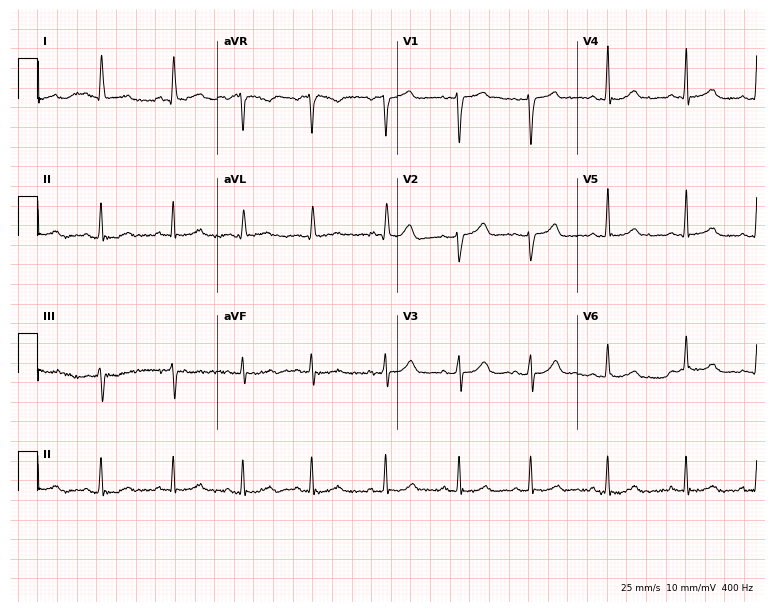
12-lead ECG (7.3-second recording at 400 Hz) from a 43-year-old female. Labelled as a normal ECG.